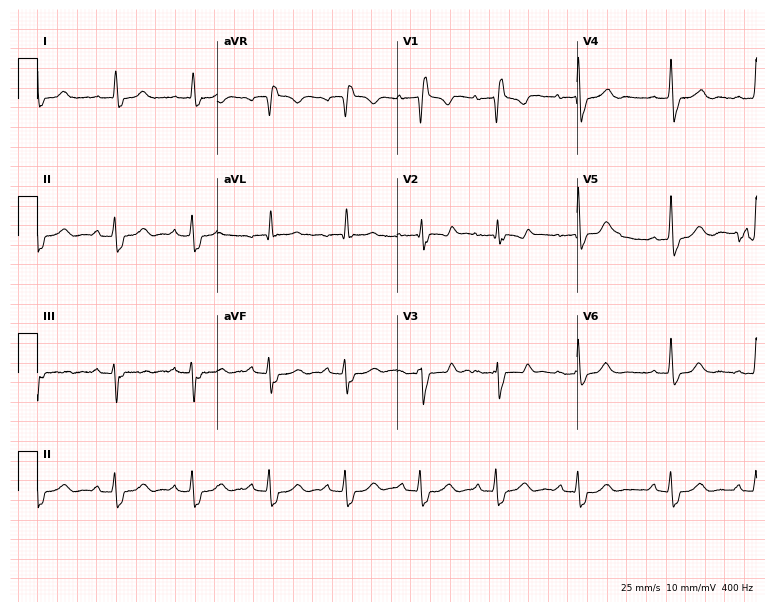
Standard 12-lead ECG recorded from a 69-year-old female patient. The tracing shows right bundle branch block.